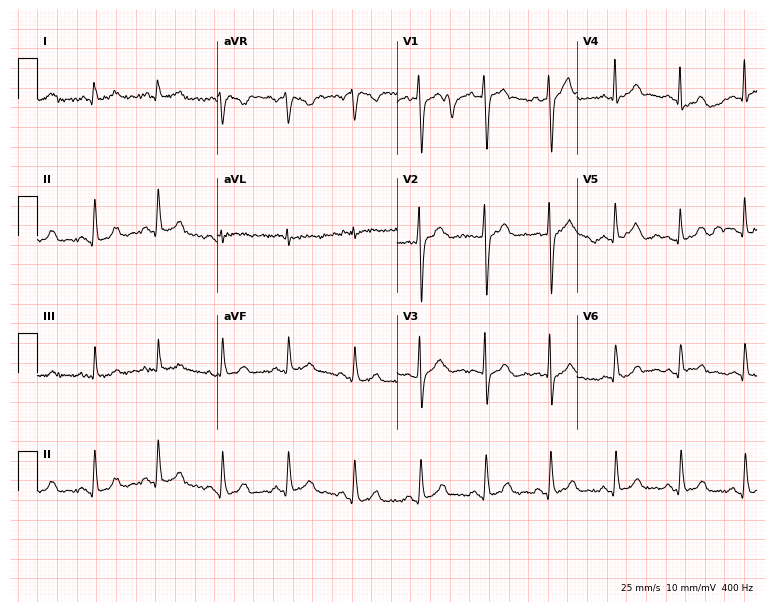
12-lead ECG from a 51-year-old male (7.3-second recording at 400 Hz). Recorded interpretation: within normal limits.